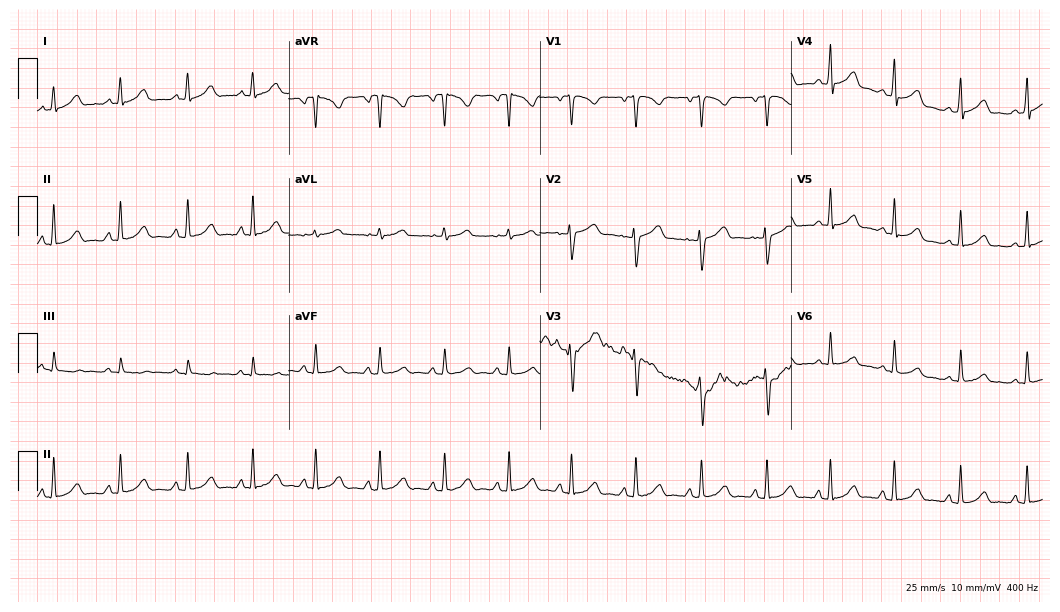
Electrocardiogram, a female, 22 years old. Overall reading on record: normal ECG.